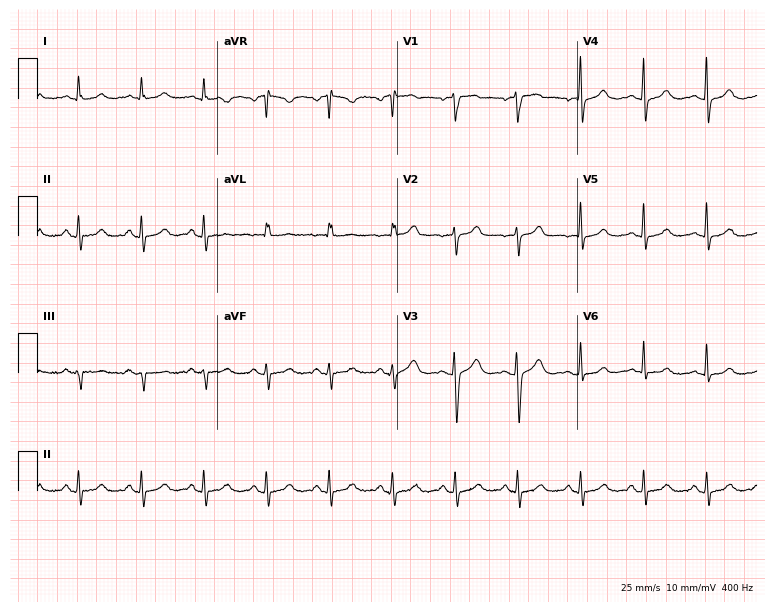
Electrocardiogram (7.3-second recording at 400 Hz), a 53-year-old female. Overall reading on record: normal ECG.